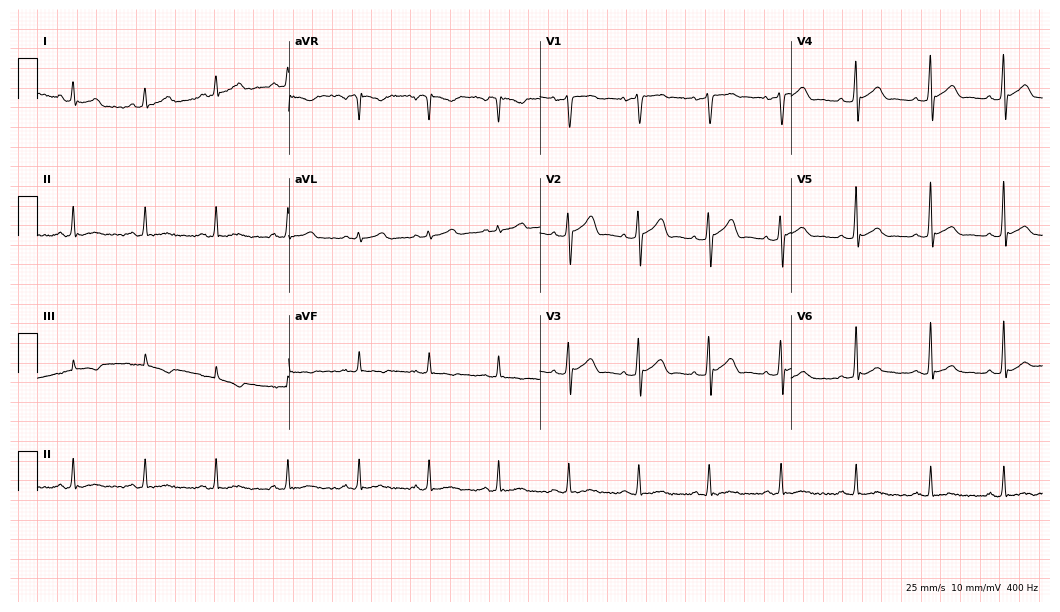
12-lead ECG from a 30-year-old man. Recorded interpretation: within normal limits.